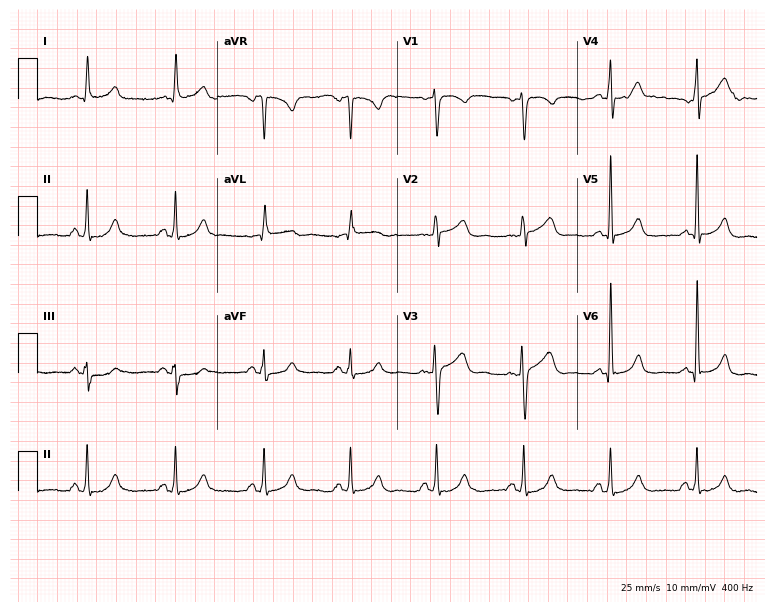
12-lead ECG from a female, 51 years old (7.3-second recording at 400 Hz). Recorded interpretation: within normal limits.